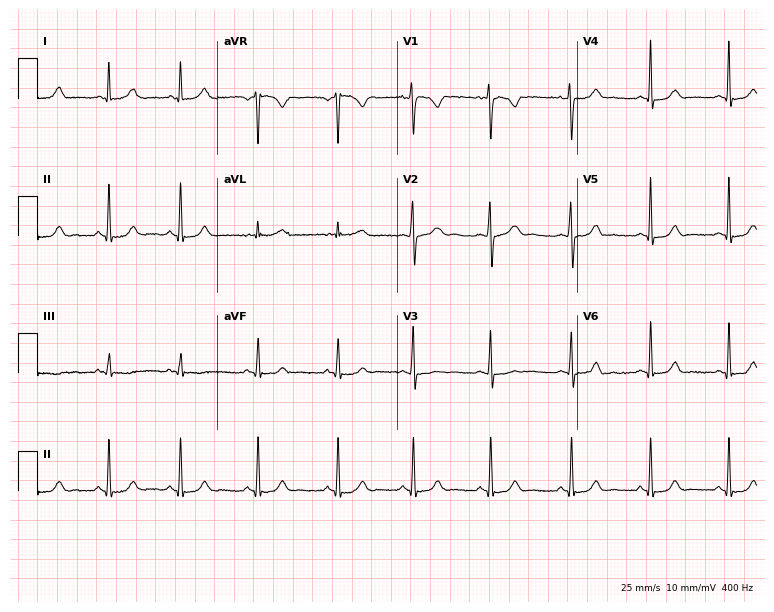
ECG — a 20-year-old female patient. Screened for six findings — first-degree AV block, right bundle branch block (RBBB), left bundle branch block (LBBB), sinus bradycardia, atrial fibrillation (AF), sinus tachycardia — none is recorded.